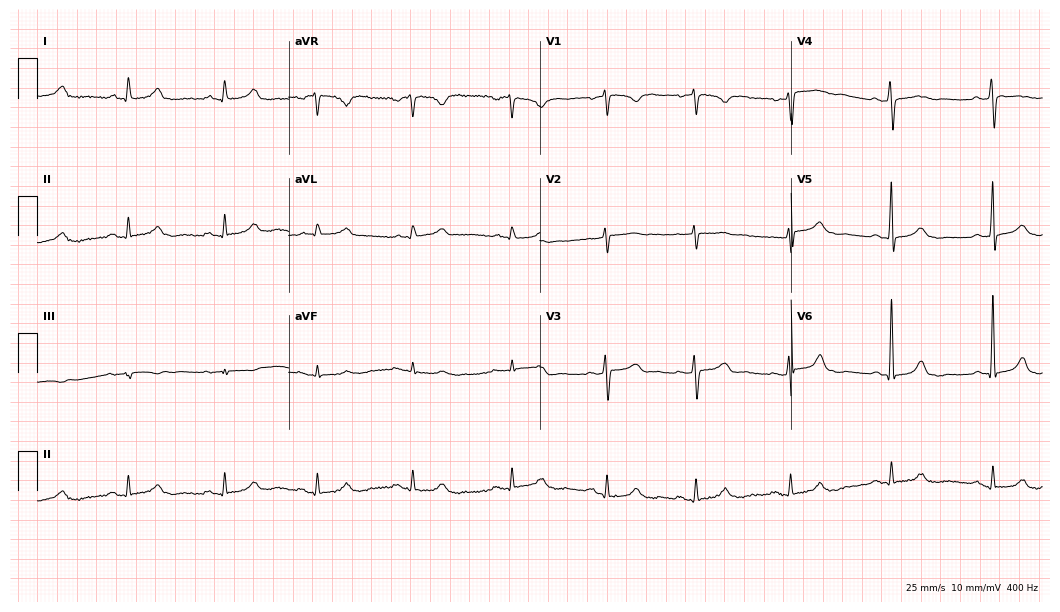
12-lead ECG from a woman, 42 years old. Recorded interpretation: within normal limits.